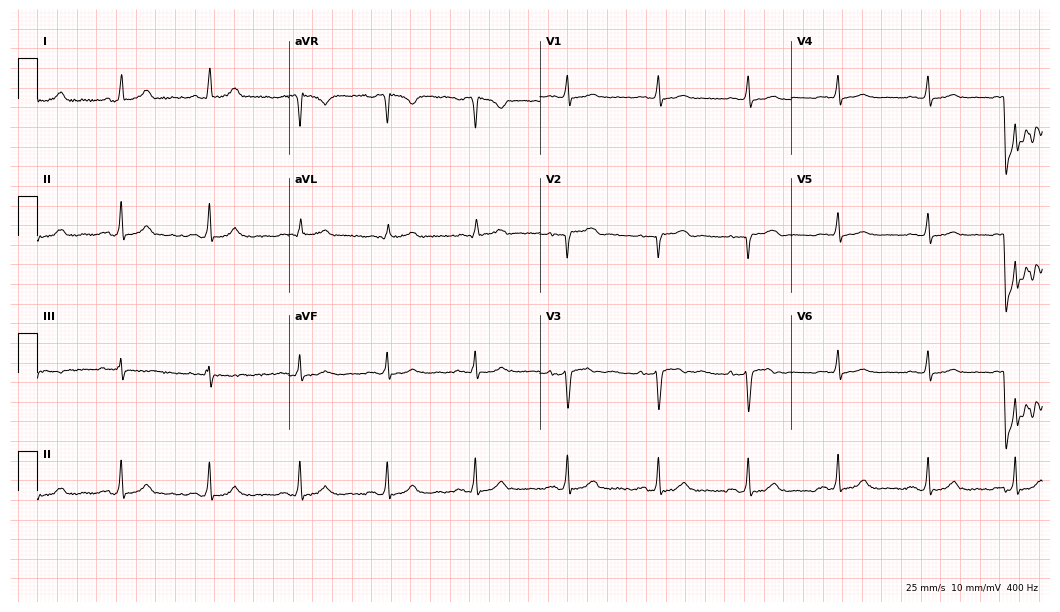
12-lead ECG from a 34-year-old woman. Recorded interpretation: within normal limits.